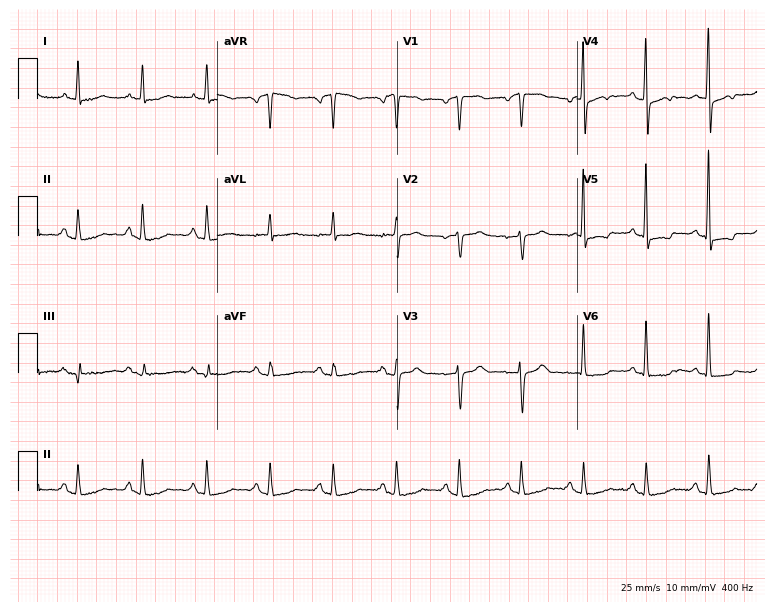
ECG — a 74-year-old female patient. Screened for six findings — first-degree AV block, right bundle branch block, left bundle branch block, sinus bradycardia, atrial fibrillation, sinus tachycardia — none is recorded. Only these six findings were labelled.